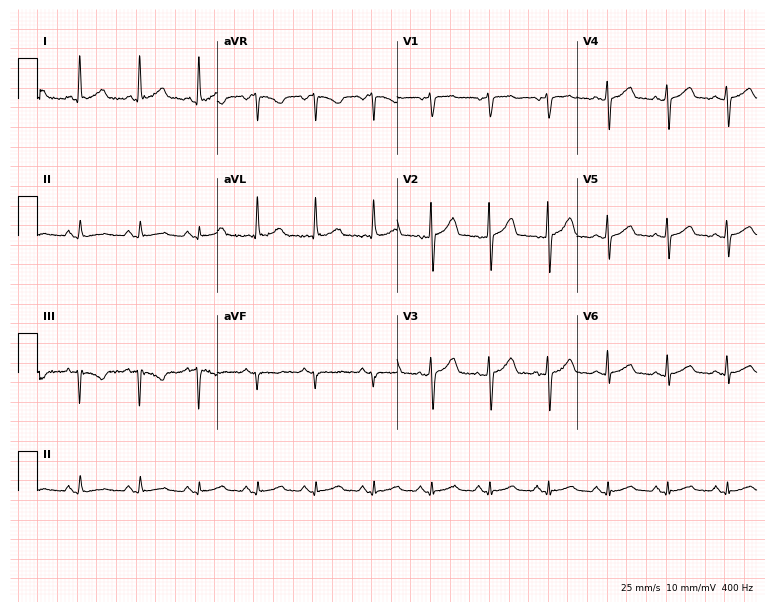
Resting 12-lead electrocardiogram. Patient: a man, 63 years old. None of these six findings is recorded: first-degree AV block, right bundle branch block, left bundle branch block, sinus bradycardia, atrial fibrillation, sinus tachycardia. Other findings, if any, are not listed.